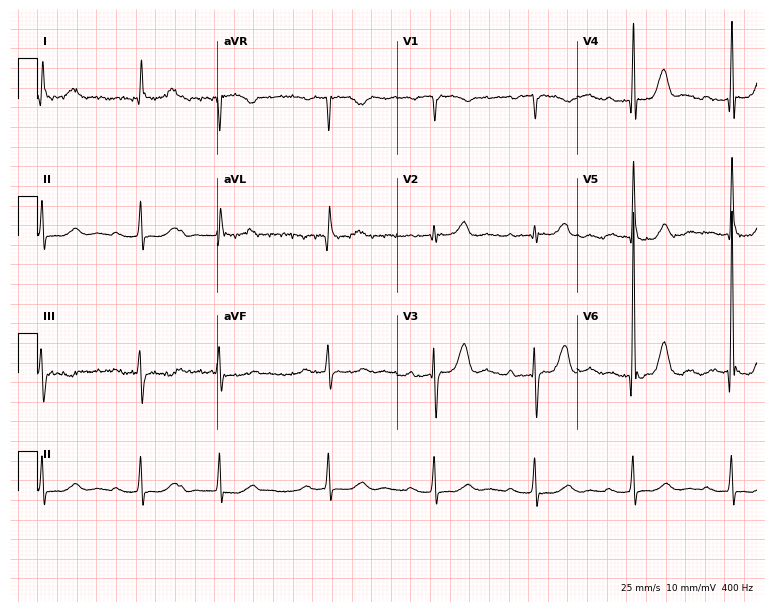
Resting 12-lead electrocardiogram. Patient: a female, 82 years old. The tracing shows first-degree AV block.